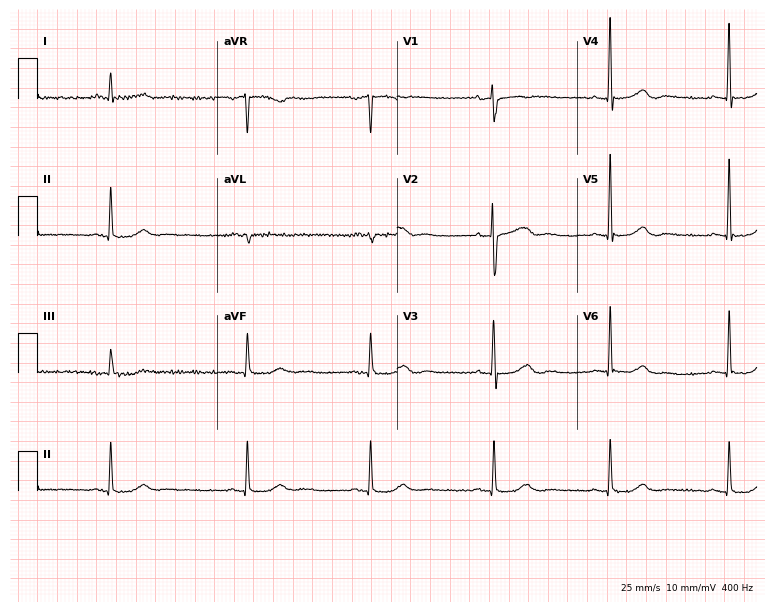
Electrocardiogram, a 69-year-old female. Interpretation includes sinus bradycardia (a sinus rate of 50 beats per minute or less).